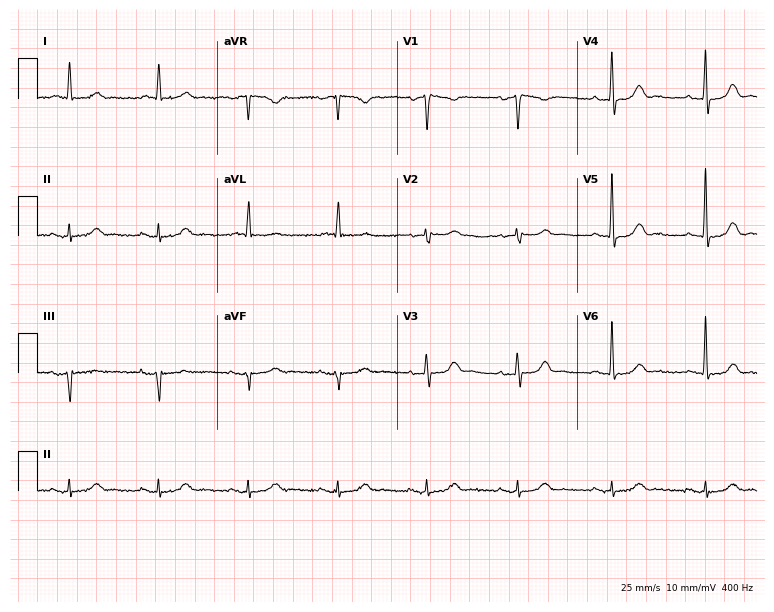
Standard 12-lead ECG recorded from a 72-year-old male patient. Read as a normal ECG.